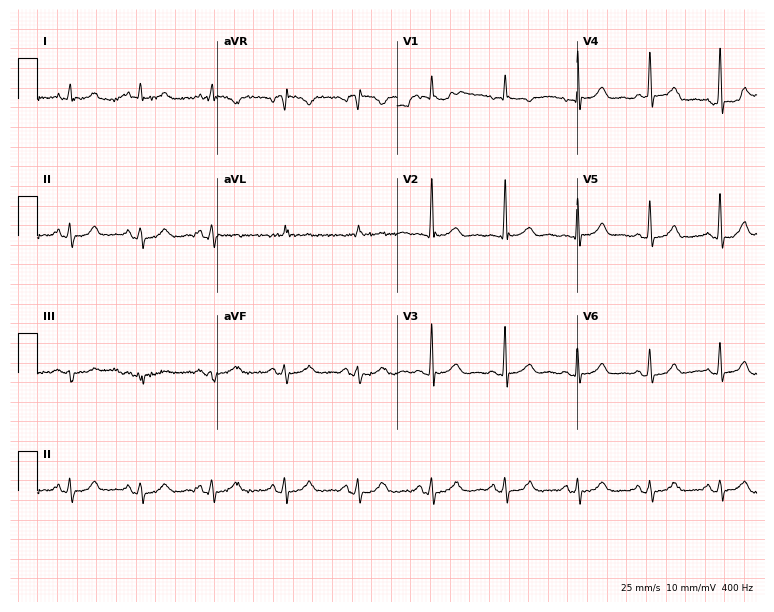
12-lead ECG from a female, 78 years old. Labelled as a normal ECG.